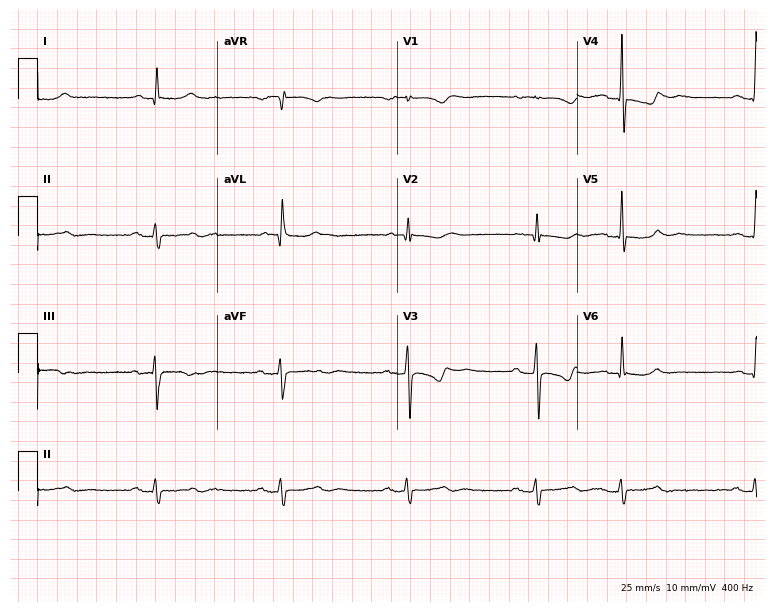
Resting 12-lead electrocardiogram (7.3-second recording at 400 Hz). Patient: a 77-year-old female. None of these six findings is recorded: first-degree AV block, right bundle branch block, left bundle branch block, sinus bradycardia, atrial fibrillation, sinus tachycardia. Only these six findings were labelled.